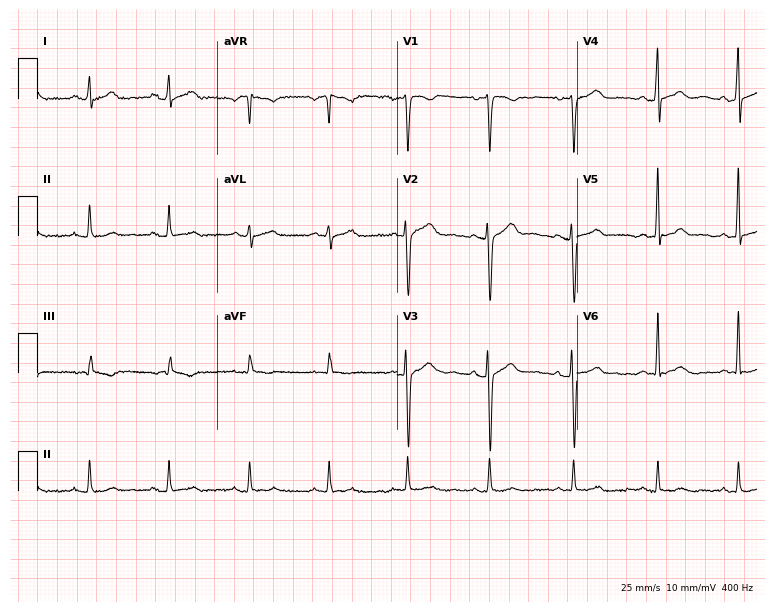
Resting 12-lead electrocardiogram (7.3-second recording at 400 Hz). Patient: a 39-year-old man. Read as a normal ECG.